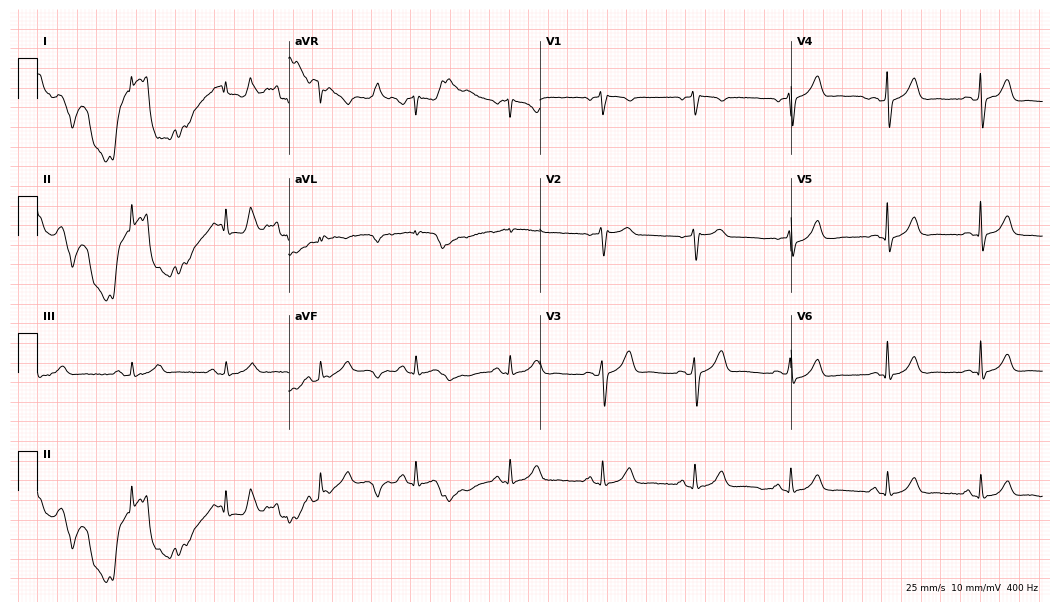
12-lead ECG from a man, 63 years old. Recorded interpretation: within normal limits.